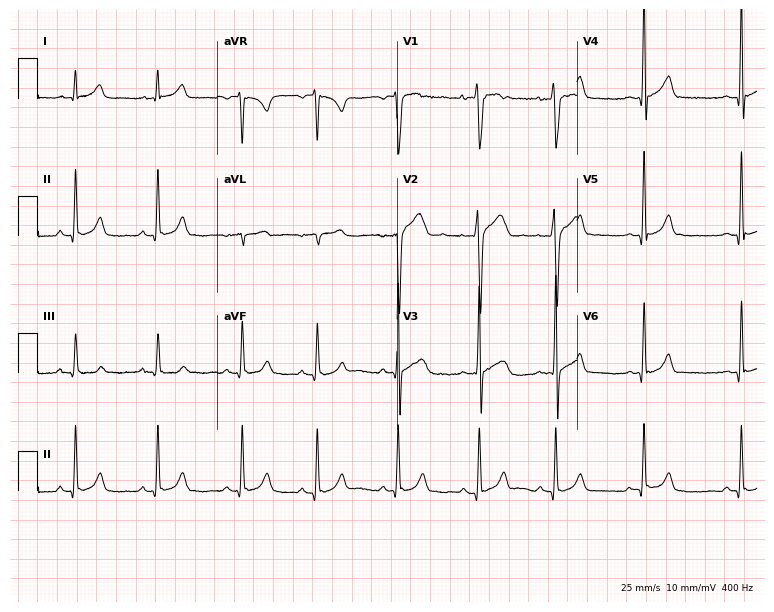
Standard 12-lead ECG recorded from a female patient, 17 years old. None of these six findings is recorded: first-degree AV block, right bundle branch block (RBBB), left bundle branch block (LBBB), sinus bradycardia, atrial fibrillation (AF), sinus tachycardia. Findings outside these six are not listed.